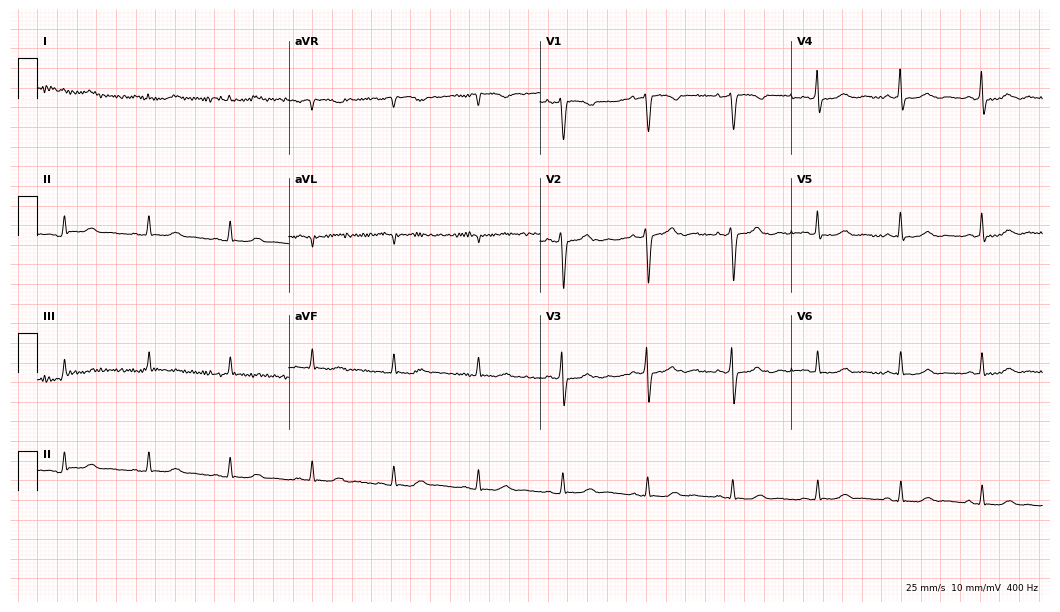
12-lead ECG from a 74-year-old woman. No first-degree AV block, right bundle branch block, left bundle branch block, sinus bradycardia, atrial fibrillation or sinus tachycardia recorded for this tracing. Only these six findings were labelled.